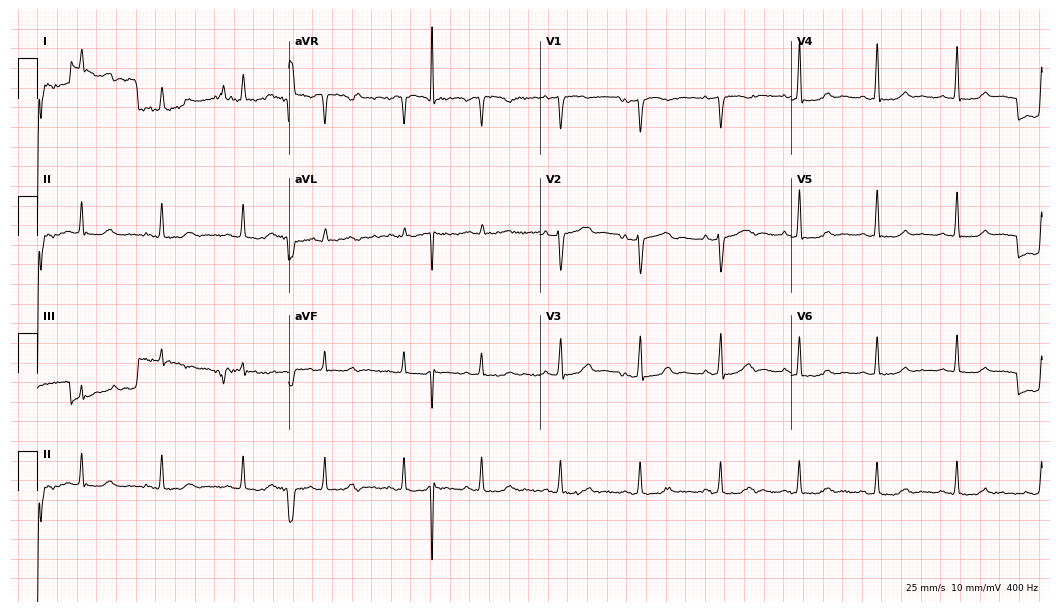
Resting 12-lead electrocardiogram. Patient: a 65-year-old man. Read as a normal ECG.